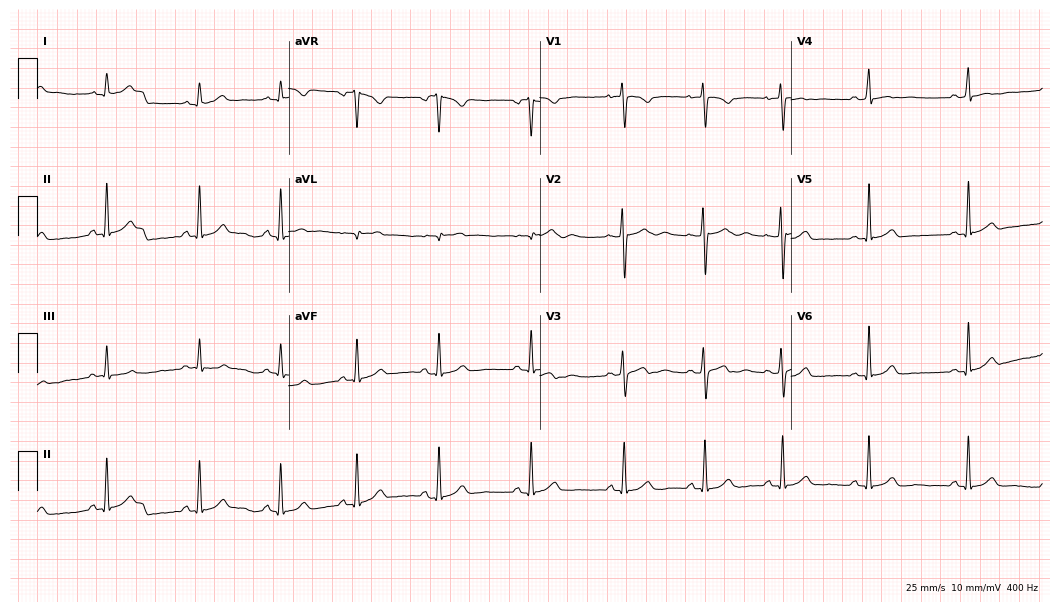
12-lead ECG from an 18-year-old woman. Recorded interpretation: within normal limits.